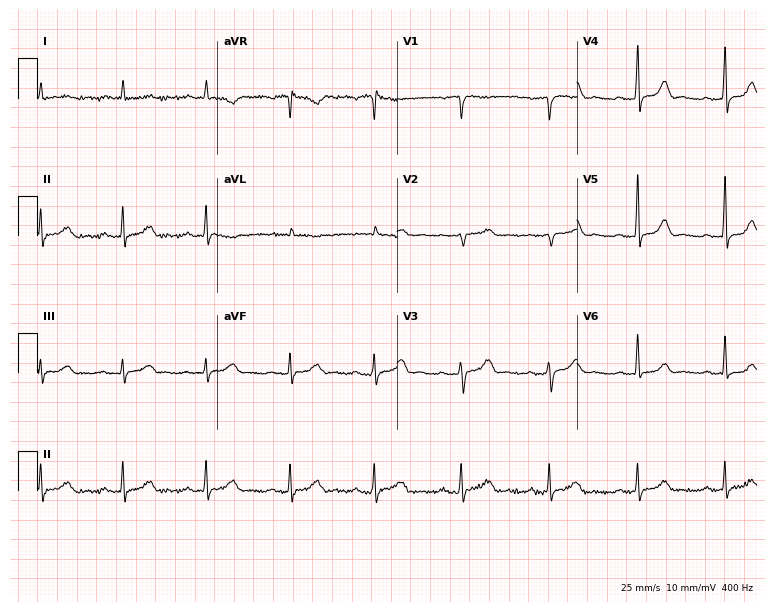
12-lead ECG from a man, 58 years old. Screened for six findings — first-degree AV block, right bundle branch block, left bundle branch block, sinus bradycardia, atrial fibrillation, sinus tachycardia — none is recorded.